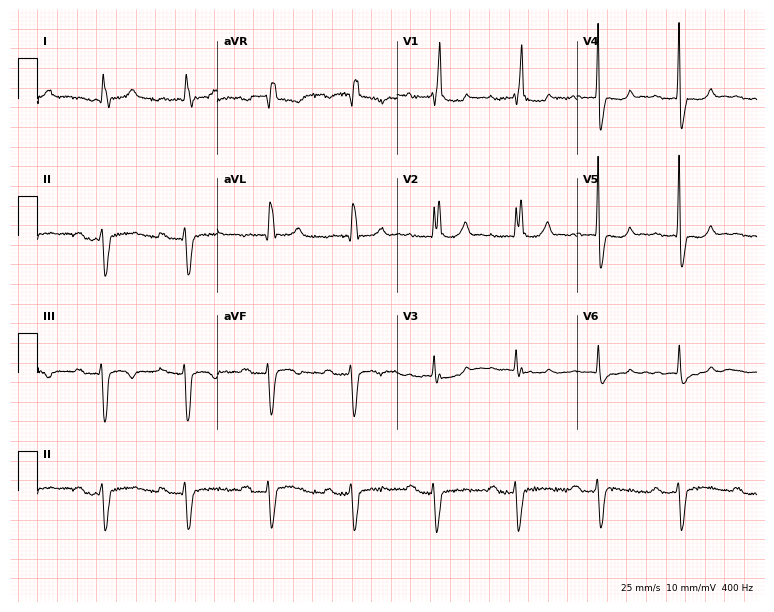
ECG (7.3-second recording at 400 Hz) — a female patient, 77 years old. Findings include first-degree AV block, right bundle branch block (RBBB).